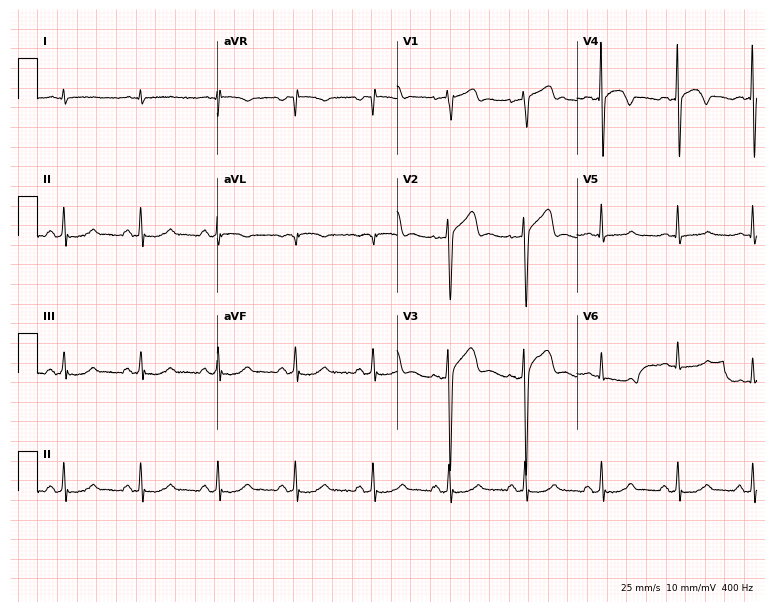
Electrocardiogram (7.3-second recording at 400 Hz), a male, 58 years old. Of the six screened findings (first-degree AV block, right bundle branch block (RBBB), left bundle branch block (LBBB), sinus bradycardia, atrial fibrillation (AF), sinus tachycardia), none is recorded. Only these six findings were labelled.